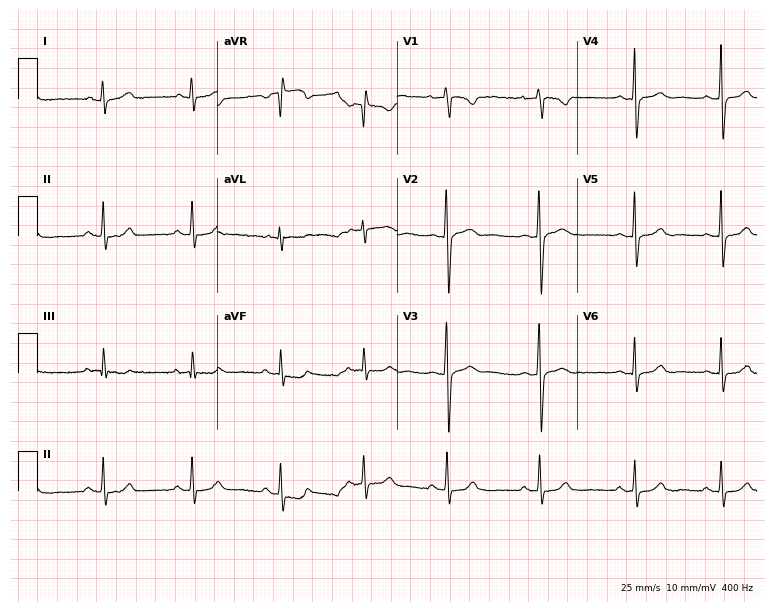
12-lead ECG from a 37-year-old female (7.3-second recording at 400 Hz). No first-degree AV block, right bundle branch block, left bundle branch block, sinus bradycardia, atrial fibrillation or sinus tachycardia recorded for this tracing.